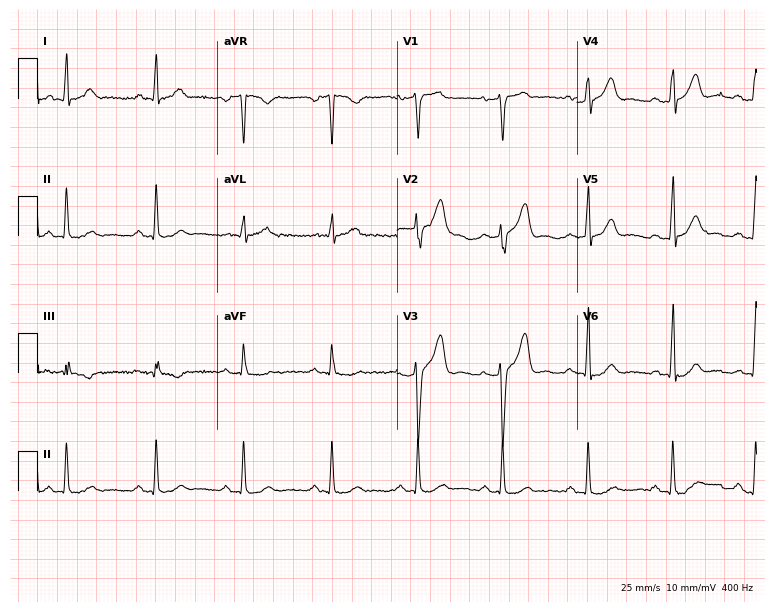
Electrocardiogram, a 52-year-old male patient. Of the six screened findings (first-degree AV block, right bundle branch block, left bundle branch block, sinus bradycardia, atrial fibrillation, sinus tachycardia), none is recorded.